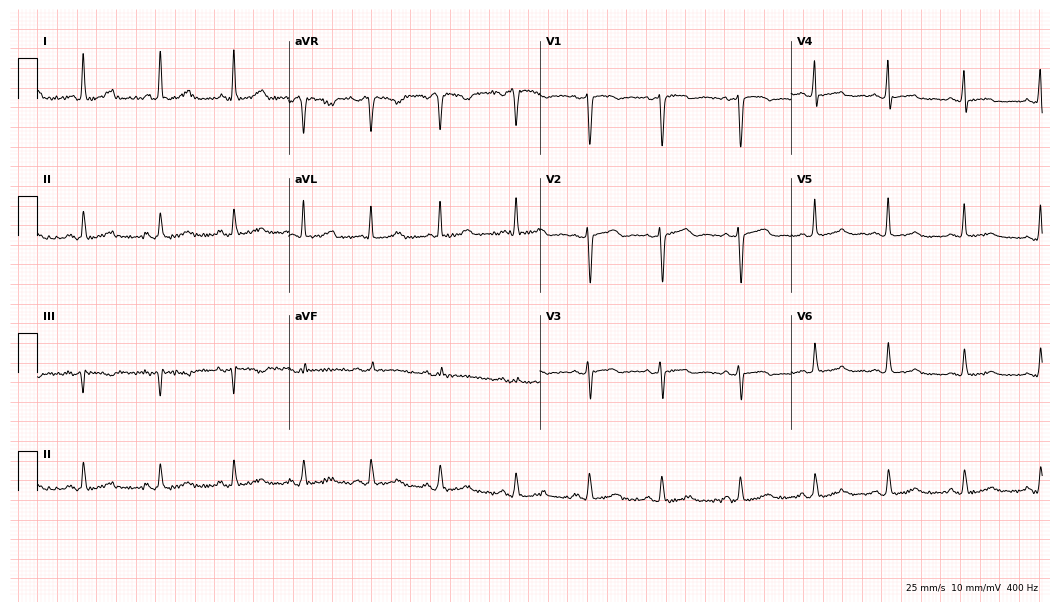
ECG (10.2-second recording at 400 Hz) — a 37-year-old female patient. Screened for six findings — first-degree AV block, right bundle branch block (RBBB), left bundle branch block (LBBB), sinus bradycardia, atrial fibrillation (AF), sinus tachycardia — none is recorded.